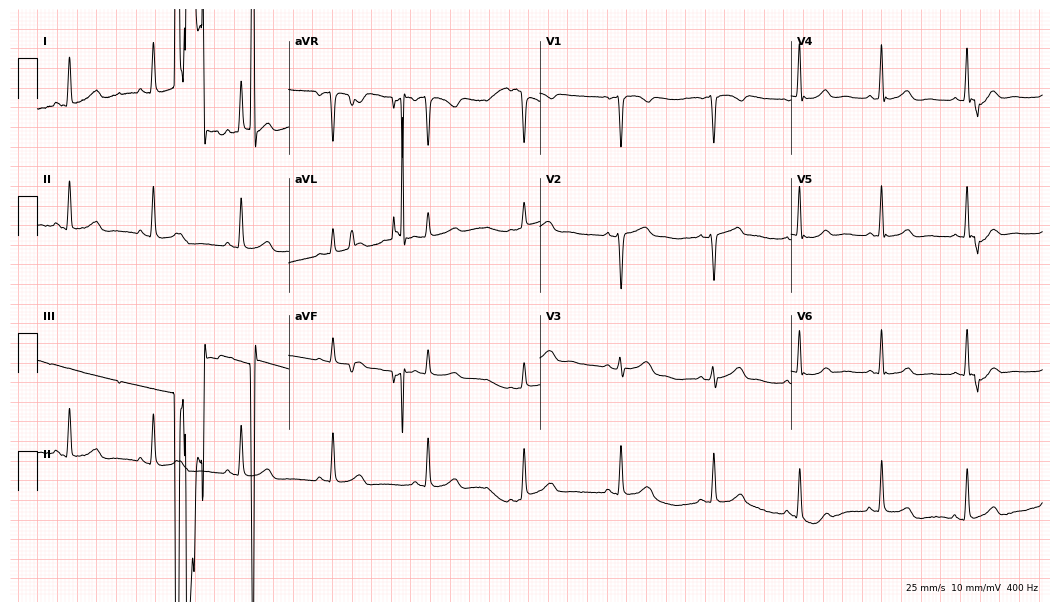
ECG (10.2-second recording at 400 Hz) — a 50-year-old female. Screened for six findings — first-degree AV block, right bundle branch block, left bundle branch block, sinus bradycardia, atrial fibrillation, sinus tachycardia — none is recorded. Findings outside these six are not listed.